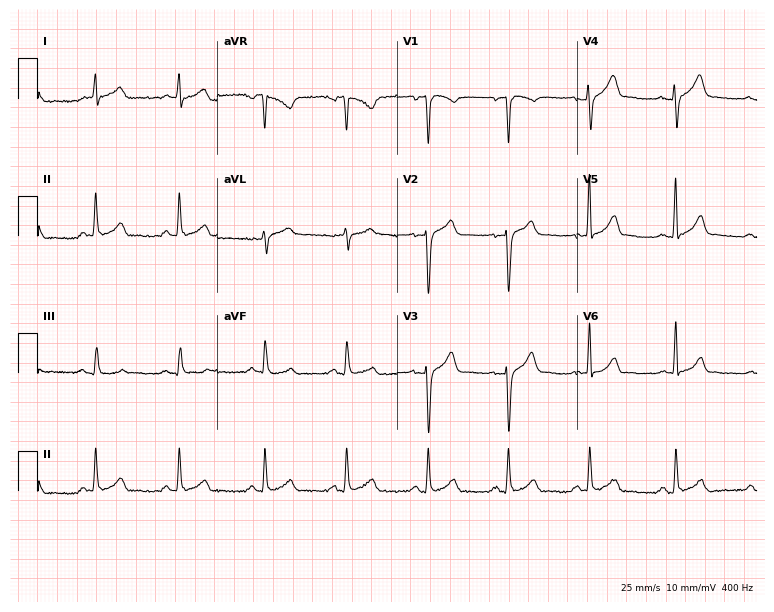
12-lead ECG from a 39-year-old male. No first-degree AV block, right bundle branch block, left bundle branch block, sinus bradycardia, atrial fibrillation or sinus tachycardia recorded for this tracing. Findings outside these six are not listed.